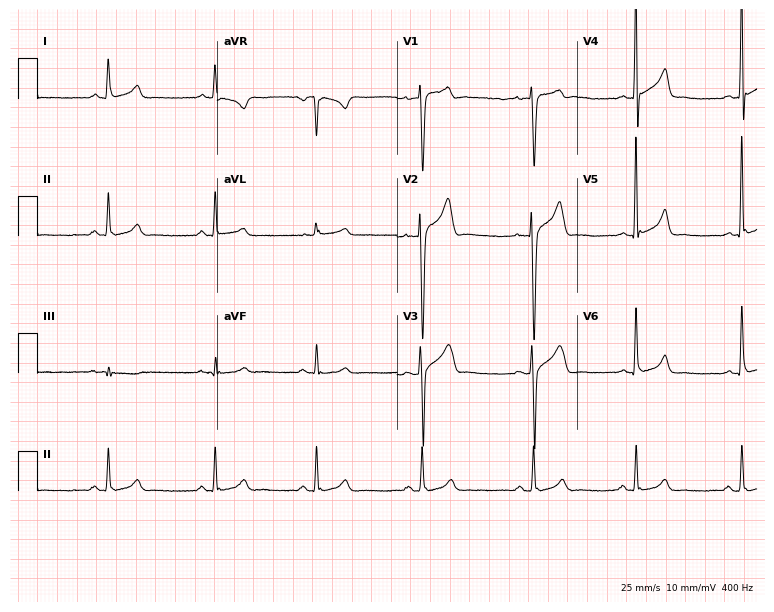
Standard 12-lead ECG recorded from a 36-year-old male patient (7.3-second recording at 400 Hz). None of these six findings is recorded: first-degree AV block, right bundle branch block, left bundle branch block, sinus bradycardia, atrial fibrillation, sinus tachycardia.